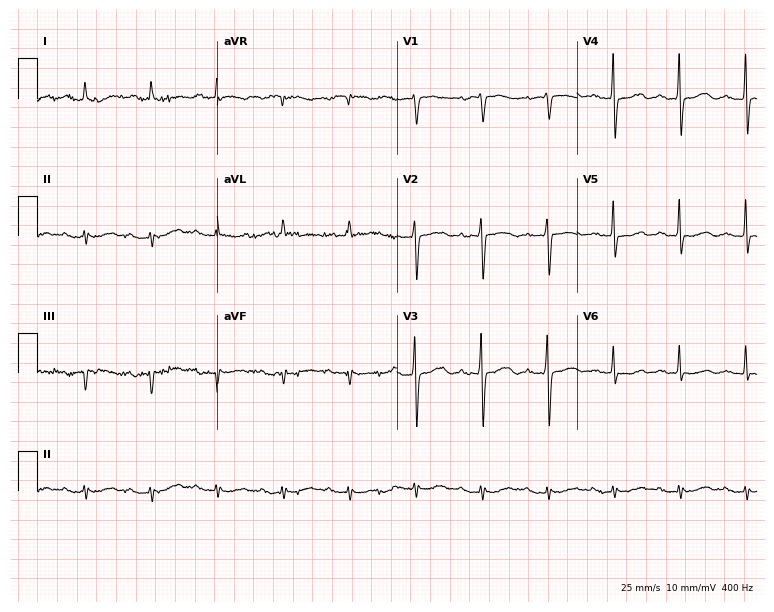
12-lead ECG (7.3-second recording at 400 Hz) from an 84-year-old female. Findings include first-degree AV block.